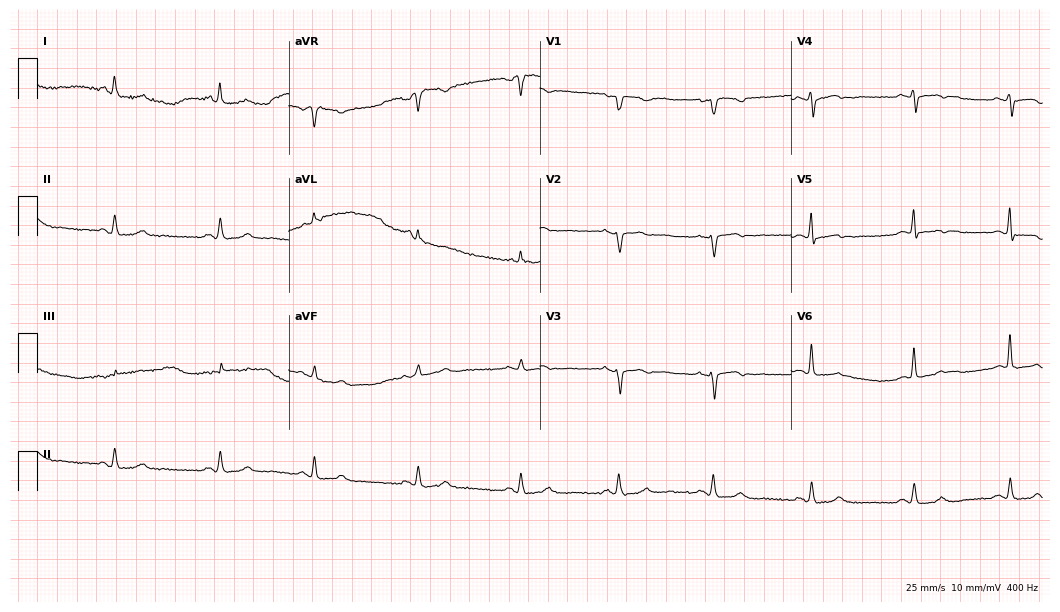
ECG (10.2-second recording at 400 Hz) — a female, 78 years old. Screened for six findings — first-degree AV block, right bundle branch block (RBBB), left bundle branch block (LBBB), sinus bradycardia, atrial fibrillation (AF), sinus tachycardia — none is recorded.